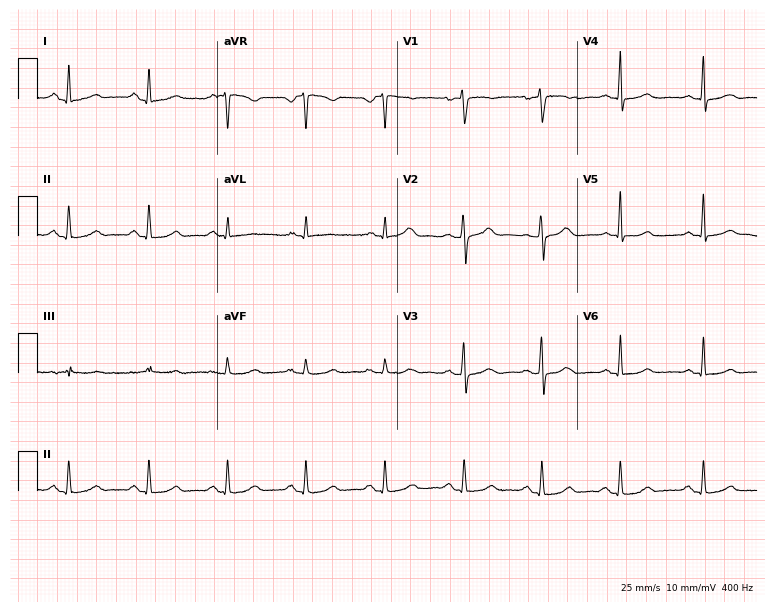
ECG (7.3-second recording at 400 Hz) — a 36-year-old female. Labelled as a normal ECG.